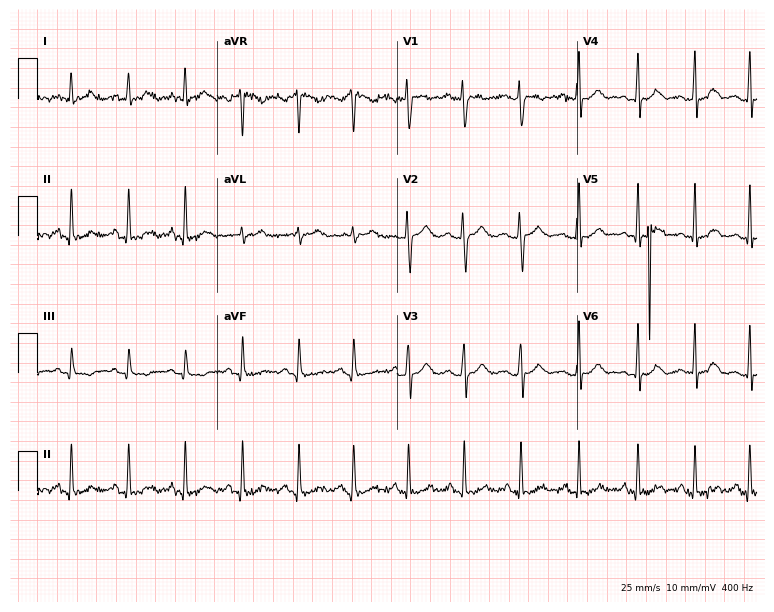
12-lead ECG from a 21-year-old female patient. Findings include sinus tachycardia (a sinus rate of 100 beats per minute or more).